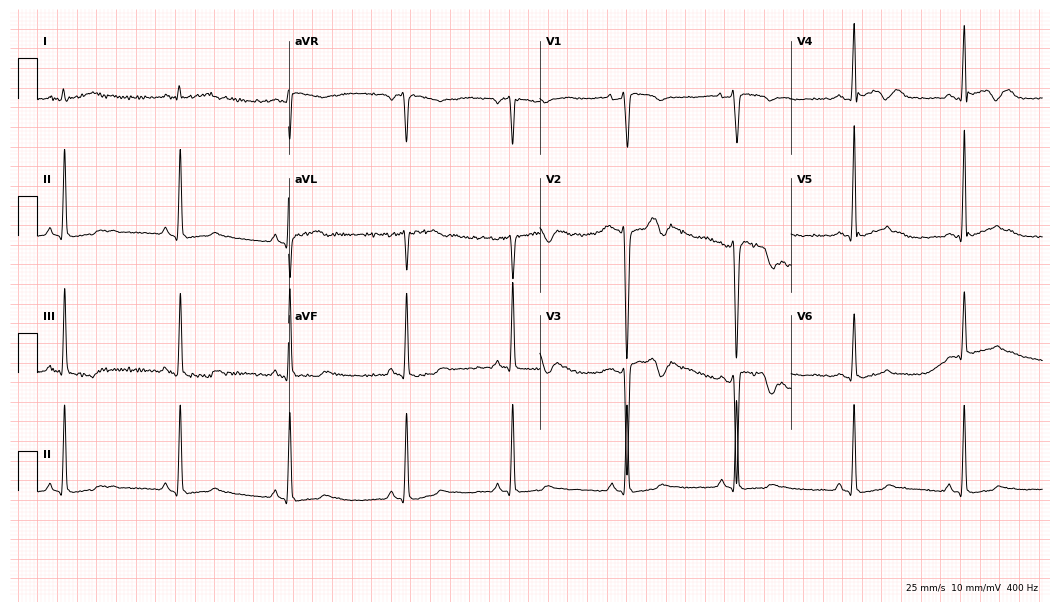
Resting 12-lead electrocardiogram. Patient: an 18-year-old male. None of these six findings is recorded: first-degree AV block, right bundle branch block, left bundle branch block, sinus bradycardia, atrial fibrillation, sinus tachycardia.